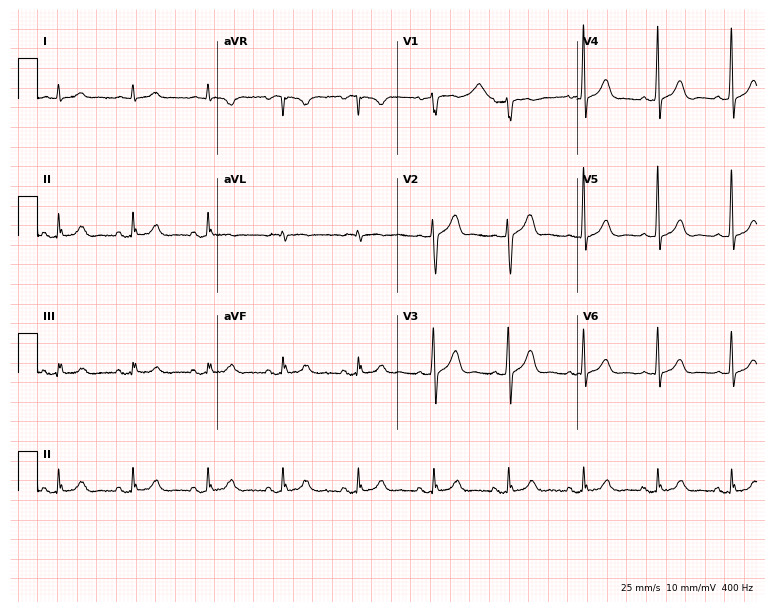
Resting 12-lead electrocardiogram. Patient: a male, 60 years old. Read as a normal ECG.